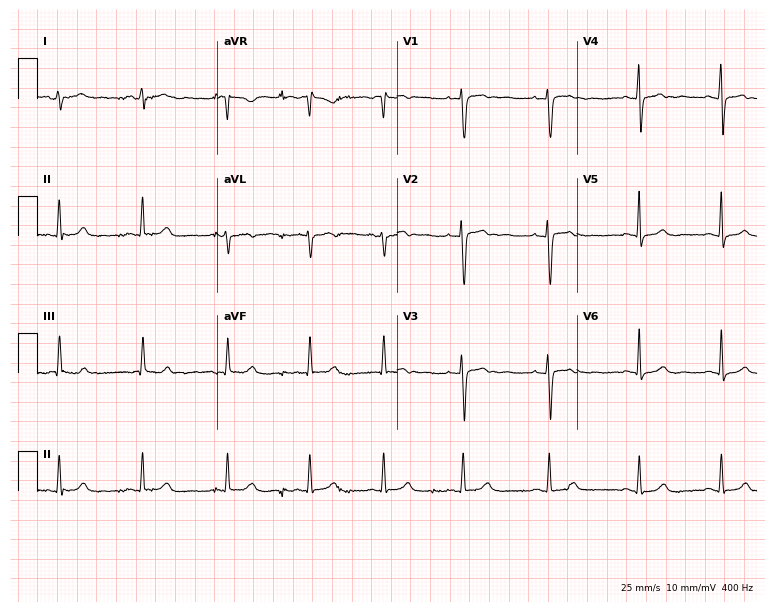
ECG — a female, 23 years old. Screened for six findings — first-degree AV block, right bundle branch block (RBBB), left bundle branch block (LBBB), sinus bradycardia, atrial fibrillation (AF), sinus tachycardia — none is recorded.